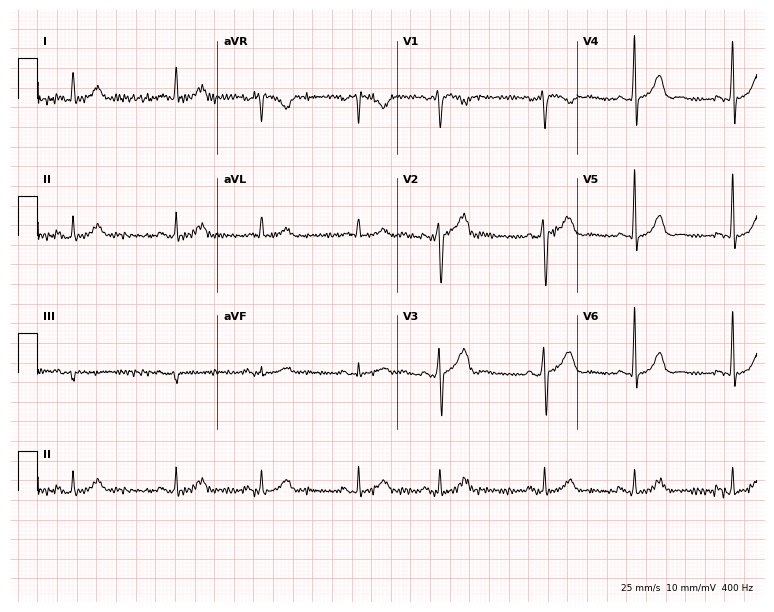
12-lead ECG (7.3-second recording at 400 Hz) from a 58-year-old male patient. Labelled as a normal ECG.